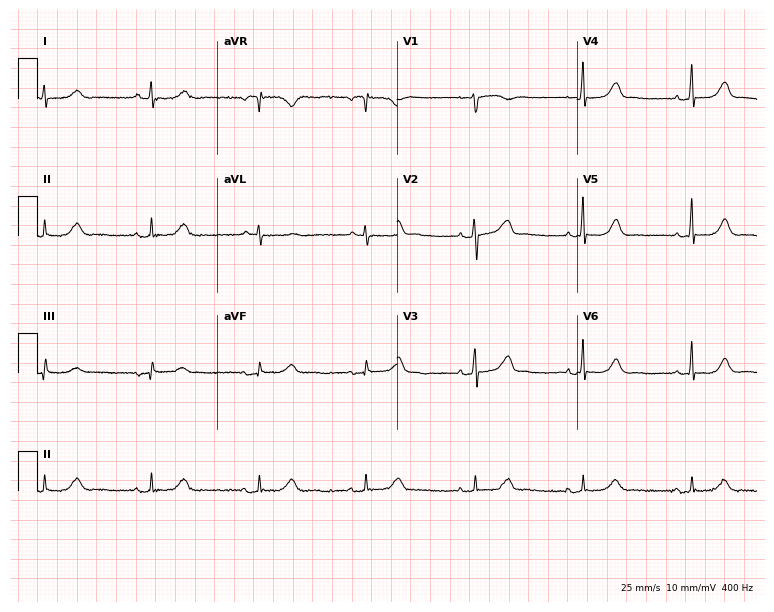
Electrocardiogram, a woman, 38 years old. Overall reading on record: normal ECG.